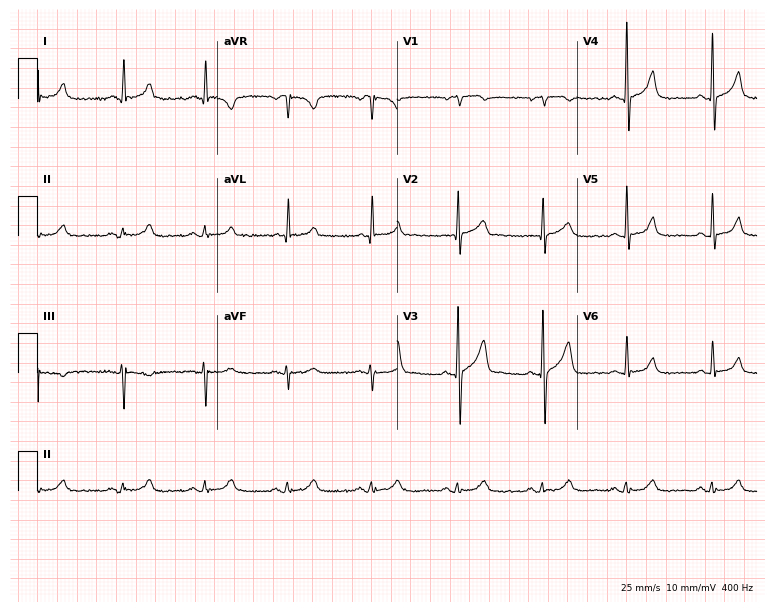
Resting 12-lead electrocardiogram (7.3-second recording at 400 Hz). Patient: a 54-year-old male. Read as a normal ECG.